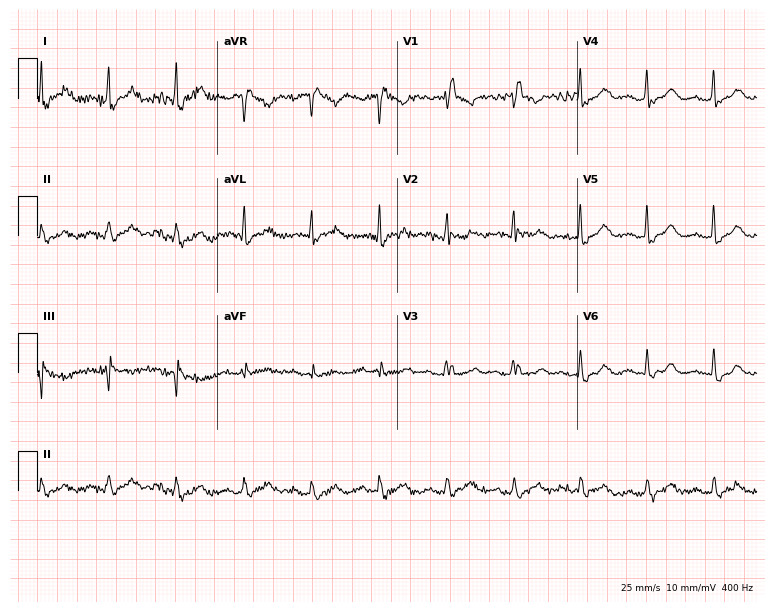
ECG (7.3-second recording at 400 Hz) — a 59-year-old woman. Screened for six findings — first-degree AV block, right bundle branch block (RBBB), left bundle branch block (LBBB), sinus bradycardia, atrial fibrillation (AF), sinus tachycardia — none is recorded.